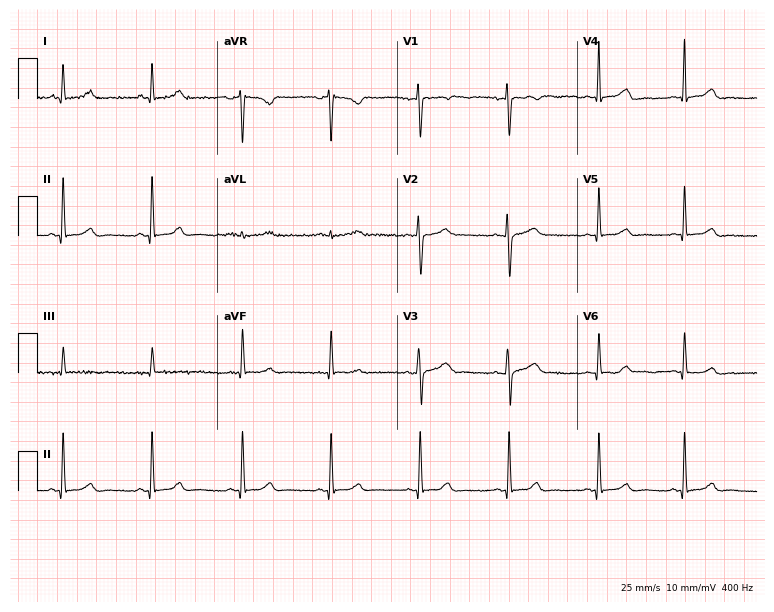
12-lead ECG from a woman, 39 years old. Recorded interpretation: within normal limits.